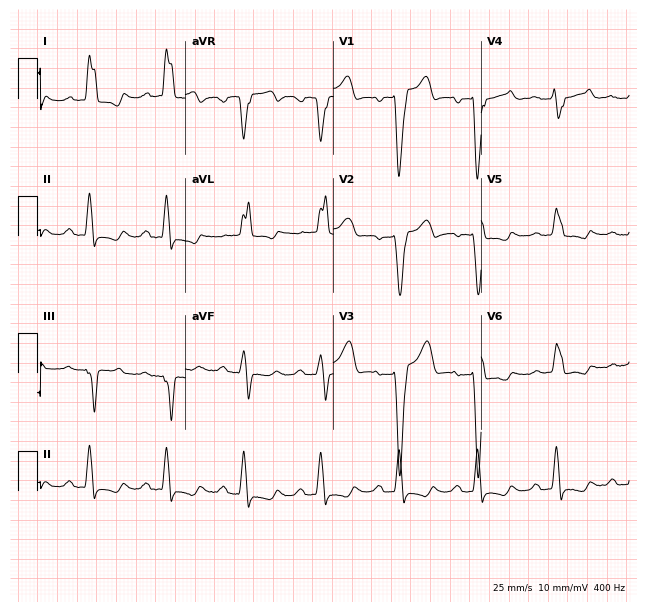
Electrocardiogram, a male patient, 27 years old. Of the six screened findings (first-degree AV block, right bundle branch block, left bundle branch block, sinus bradycardia, atrial fibrillation, sinus tachycardia), none is recorded. Other findings, if any, are not listed.